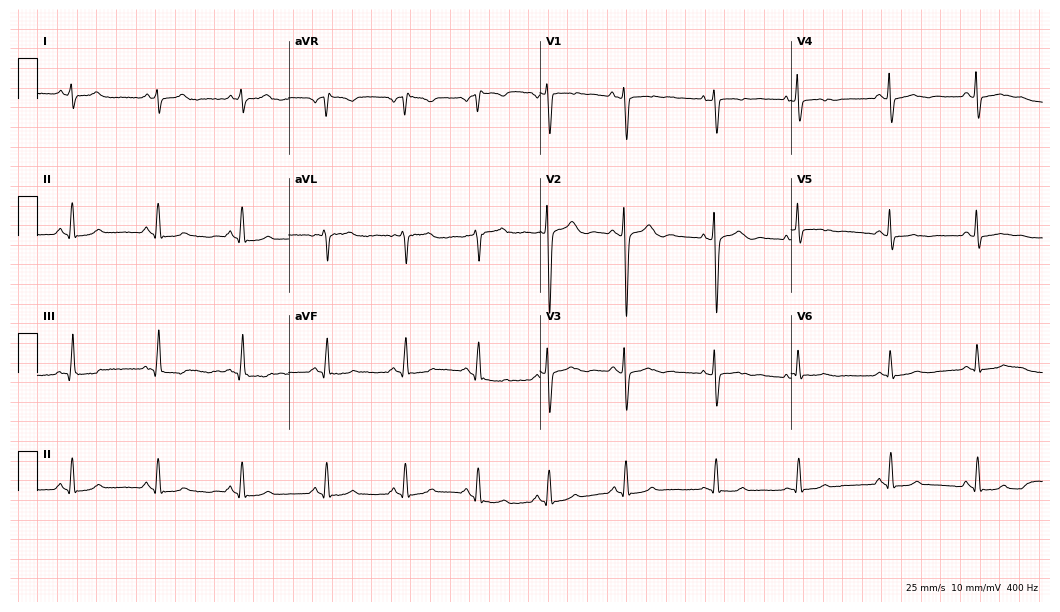
Electrocardiogram, a 31-year-old male. Of the six screened findings (first-degree AV block, right bundle branch block (RBBB), left bundle branch block (LBBB), sinus bradycardia, atrial fibrillation (AF), sinus tachycardia), none is recorded. Only these six findings were labelled.